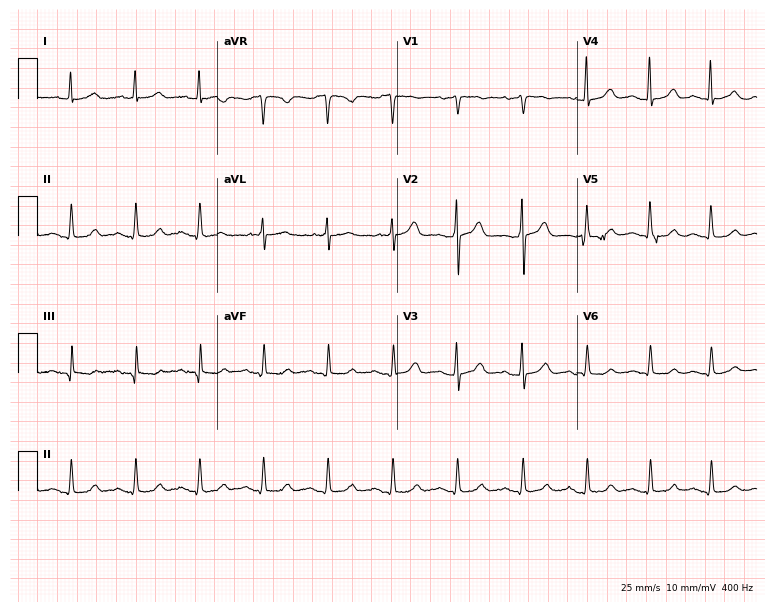
12-lead ECG from a man, 77 years old (7.3-second recording at 400 Hz). No first-degree AV block, right bundle branch block (RBBB), left bundle branch block (LBBB), sinus bradycardia, atrial fibrillation (AF) or sinus tachycardia recorded for this tracing. Other findings, if any, are not listed.